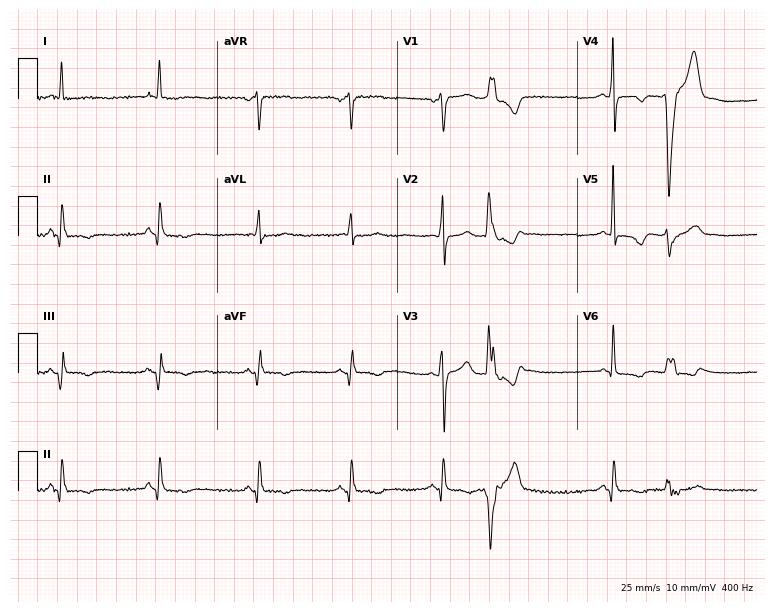
Electrocardiogram (7.3-second recording at 400 Hz), a 60-year-old female. Of the six screened findings (first-degree AV block, right bundle branch block (RBBB), left bundle branch block (LBBB), sinus bradycardia, atrial fibrillation (AF), sinus tachycardia), none is recorded. Findings outside these six are not listed.